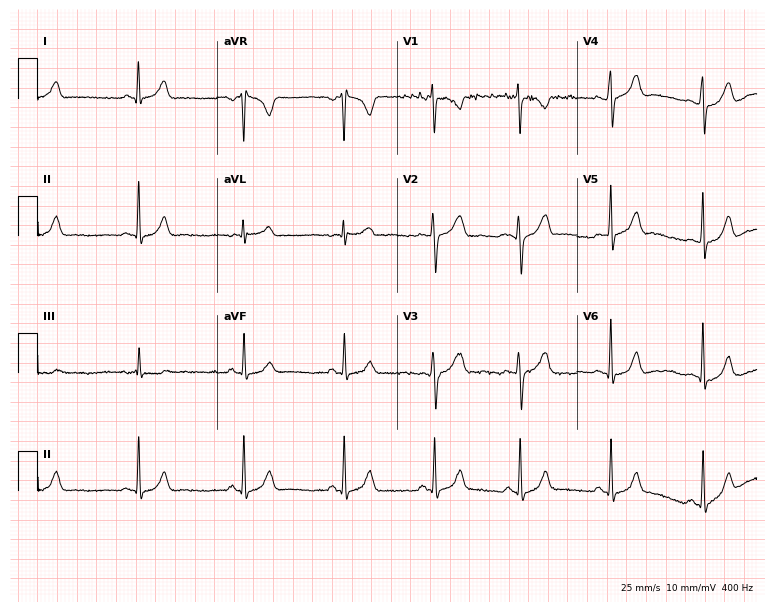
Resting 12-lead electrocardiogram (7.3-second recording at 400 Hz). Patient: a woman, 18 years old. Read as a normal ECG.